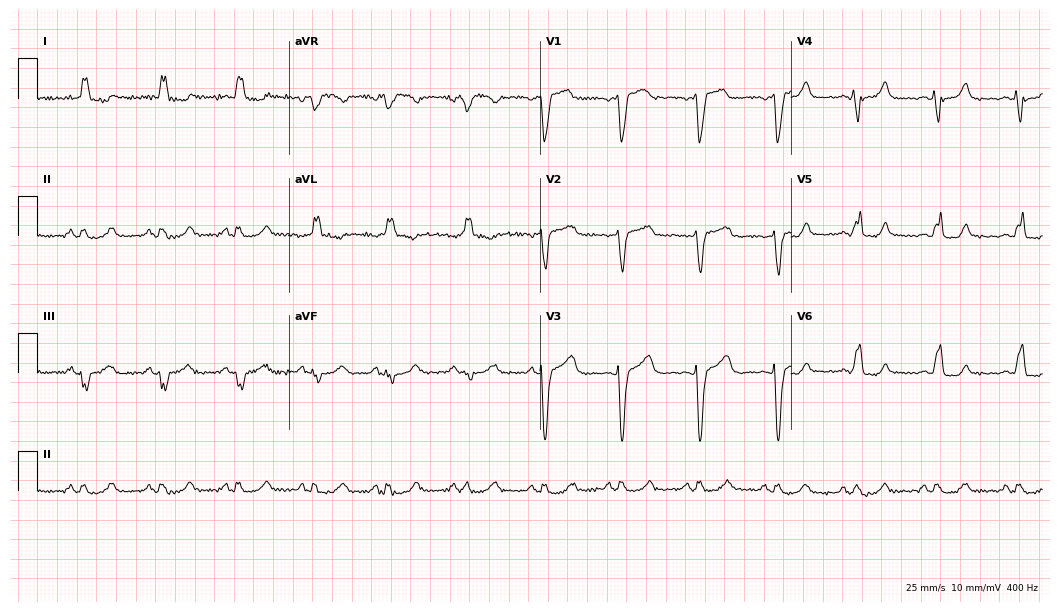
Electrocardiogram (10.2-second recording at 400 Hz), a 61-year-old woman. Interpretation includes left bundle branch block (LBBB).